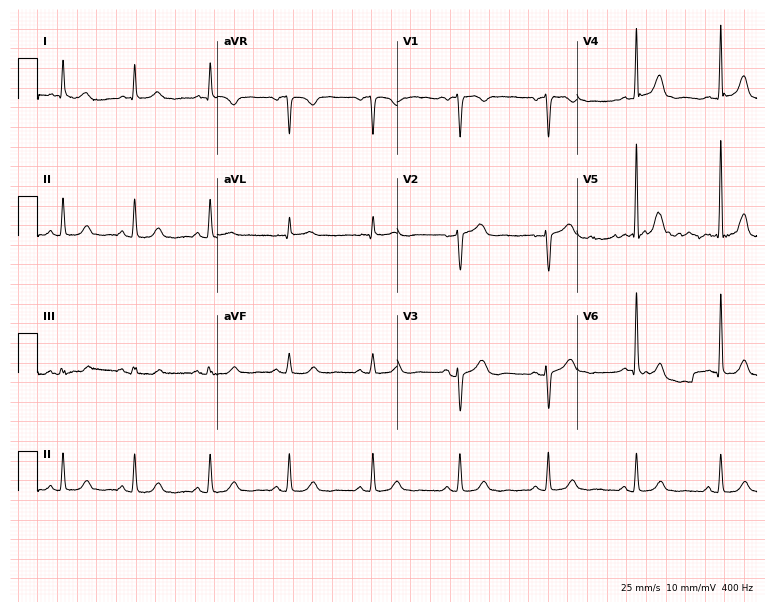
ECG (7.3-second recording at 400 Hz) — an 84-year-old woman. Labelled as a normal ECG.